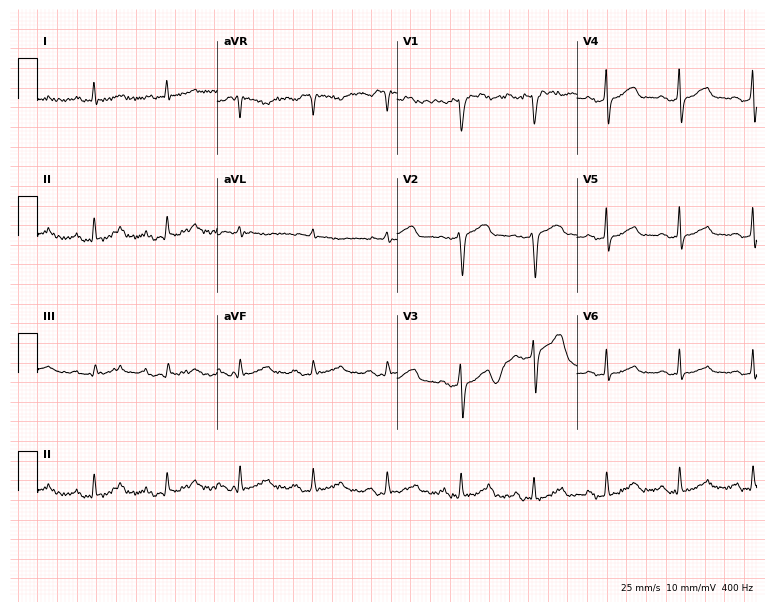
12-lead ECG from a 48-year-old woman (7.3-second recording at 400 Hz). No first-degree AV block, right bundle branch block (RBBB), left bundle branch block (LBBB), sinus bradycardia, atrial fibrillation (AF) or sinus tachycardia recorded for this tracing. Only these six findings were labelled.